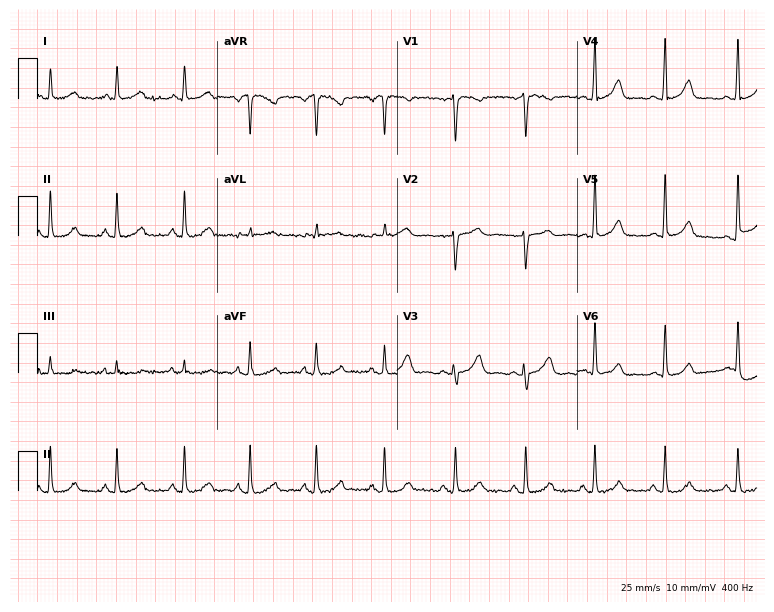
Electrocardiogram, a female, 47 years old. Overall reading on record: normal ECG.